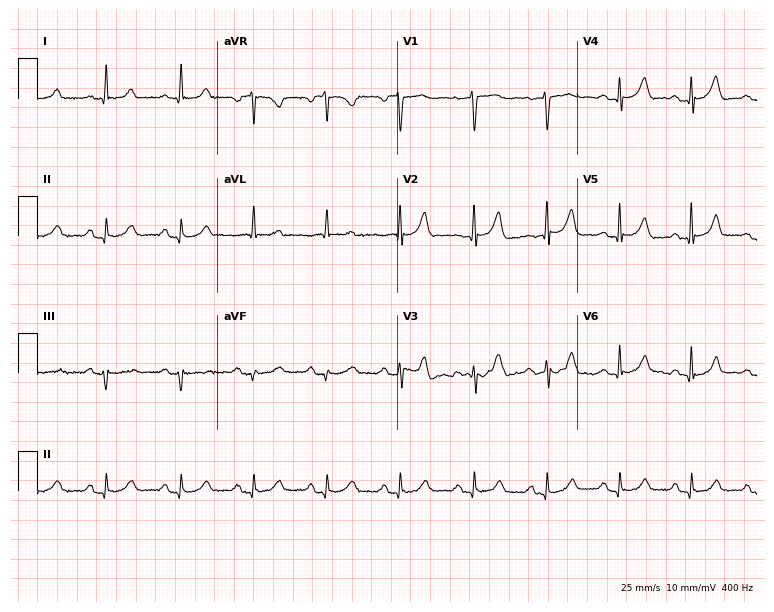
Resting 12-lead electrocardiogram. Patient: a 76-year-old female. None of these six findings is recorded: first-degree AV block, right bundle branch block, left bundle branch block, sinus bradycardia, atrial fibrillation, sinus tachycardia. Only these six findings were labelled.